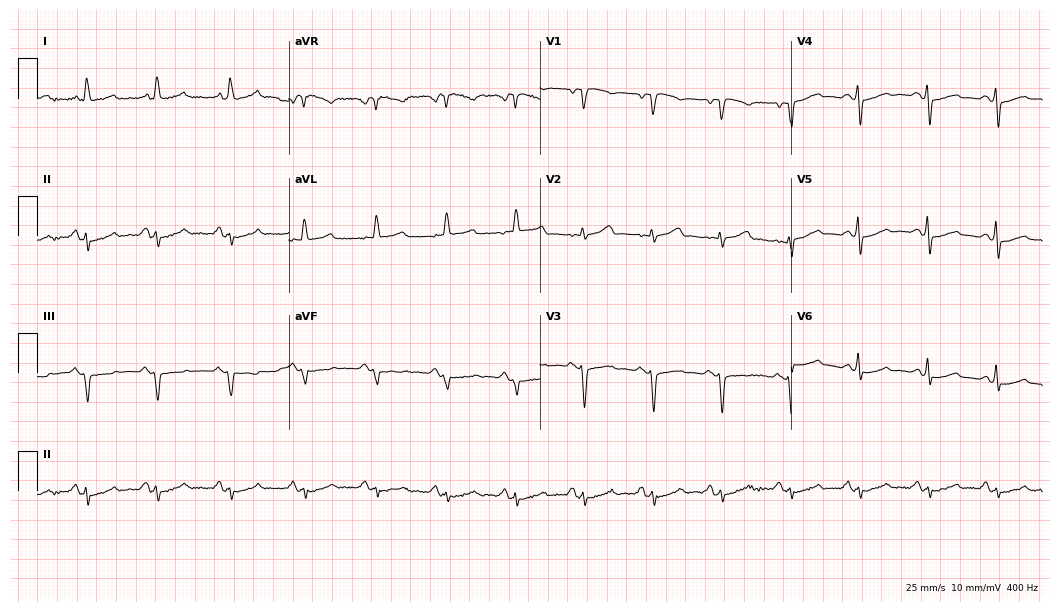
Resting 12-lead electrocardiogram (10.2-second recording at 400 Hz). Patient: a 57-year-old female. None of these six findings is recorded: first-degree AV block, right bundle branch block (RBBB), left bundle branch block (LBBB), sinus bradycardia, atrial fibrillation (AF), sinus tachycardia.